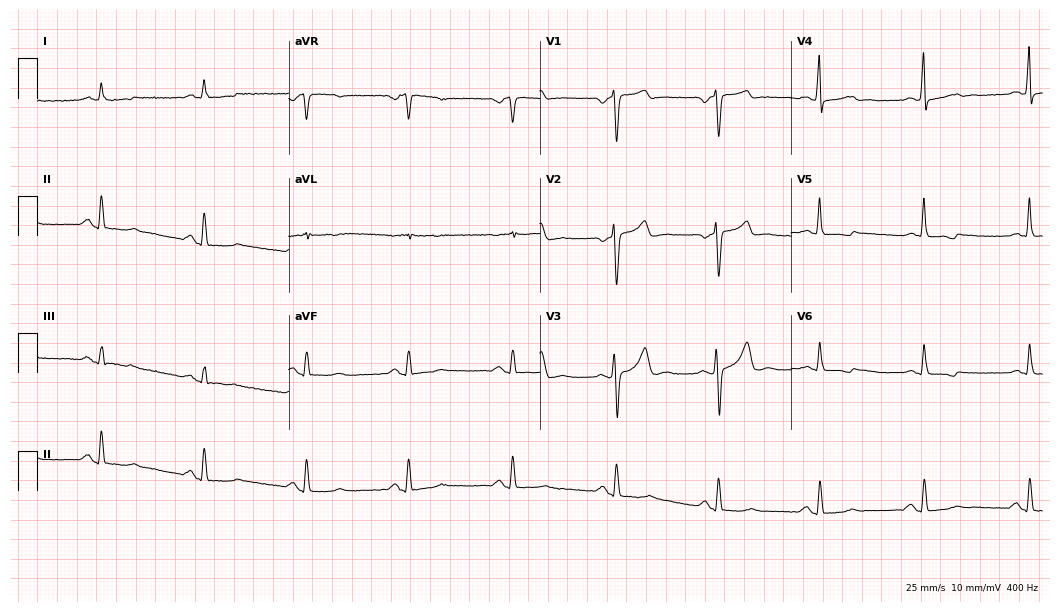
Standard 12-lead ECG recorded from a man, 24 years old. None of these six findings is recorded: first-degree AV block, right bundle branch block (RBBB), left bundle branch block (LBBB), sinus bradycardia, atrial fibrillation (AF), sinus tachycardia.